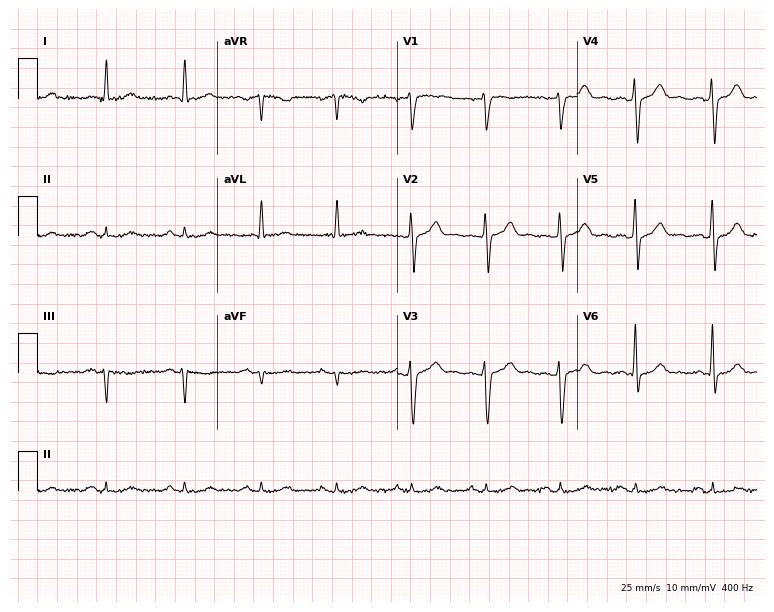
12-lead ECG from a male, 61 years old (7.3-second recording at 400 Hz). Recorded interpretation: within normal limits.